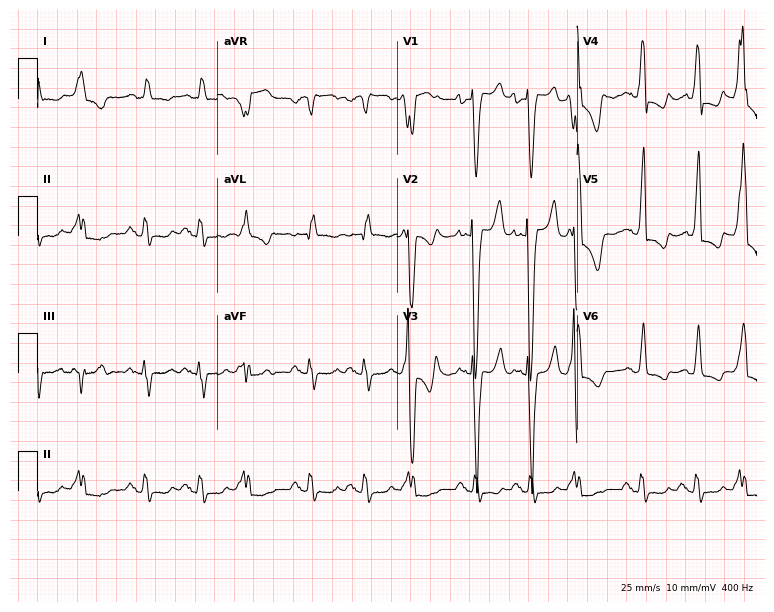
12-lead ECG from a 70-year-old female patient (7.3-second recording at 400 Hz). No first-degree AV block, right bundle branch block, left bundle branch block, sinus bradycardia, atrial fibrillation or sinus tachycardia recorded for this tracing. Findings outside these six are not listed.